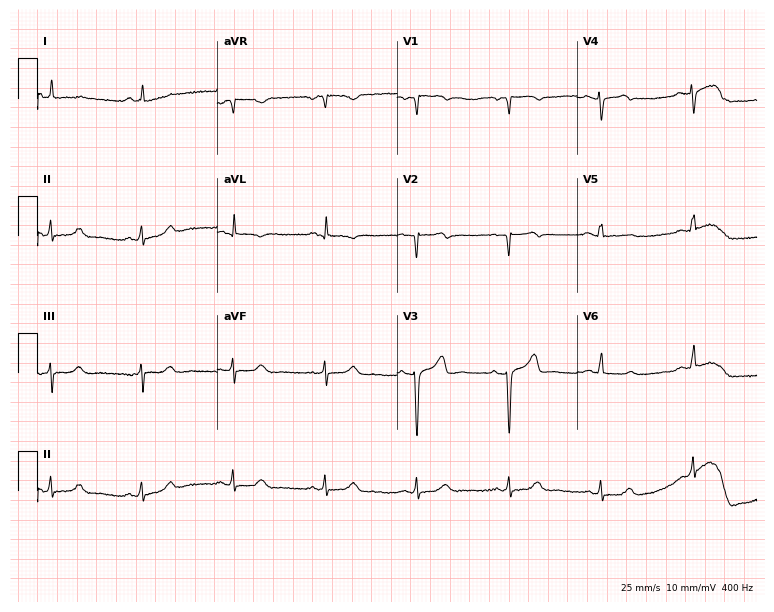
Standard 12-lead ECG recorded from a male patient, 71 years old. None of these six findings is recorded: first-degree AV block, right bundle branch block, left bundle branch block, sinus bradycardia, atrial fibrillation, sinus tachycardia.